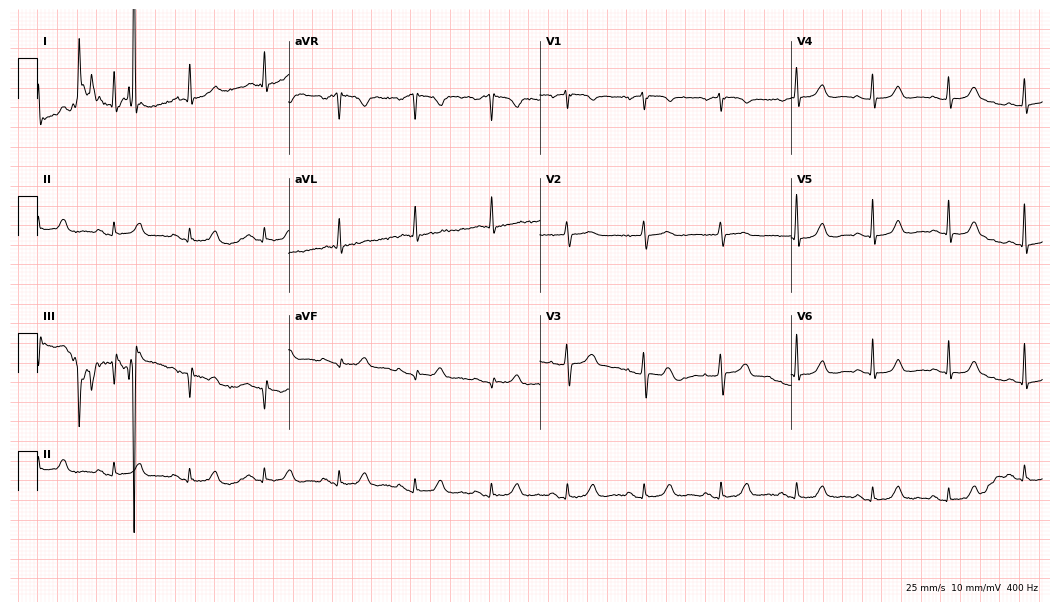
12-lead ECG from a female patient, 83 years old. No first-degree AV block, right bundle branch block, left bundle branch block, sinus bradycardia, atrial fibrillation or sinus tachycardia recorded for this tracing. Only these six findings were labelled.